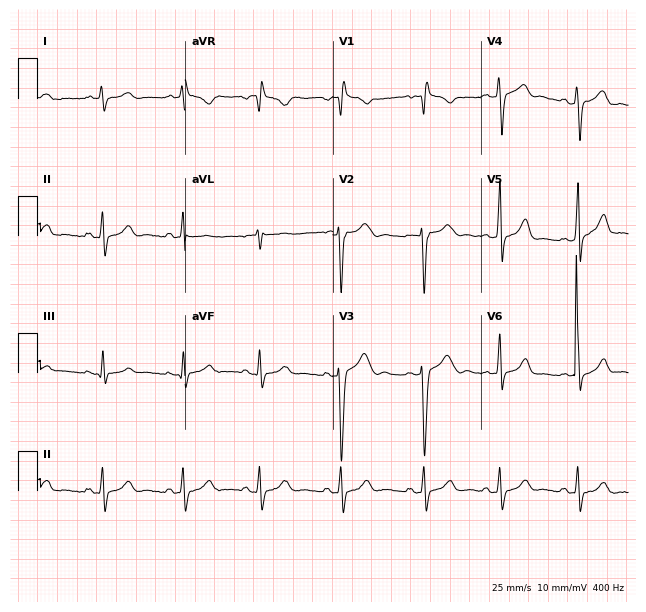
Standard 12-lead ECG recorded from a 19-year-old female patient. None of these six findings is recorded: first-degree AV block, right bundle branch block, left bundle branch block, sinus bradycardia, atrial fibrillation, sinus tachycardia.